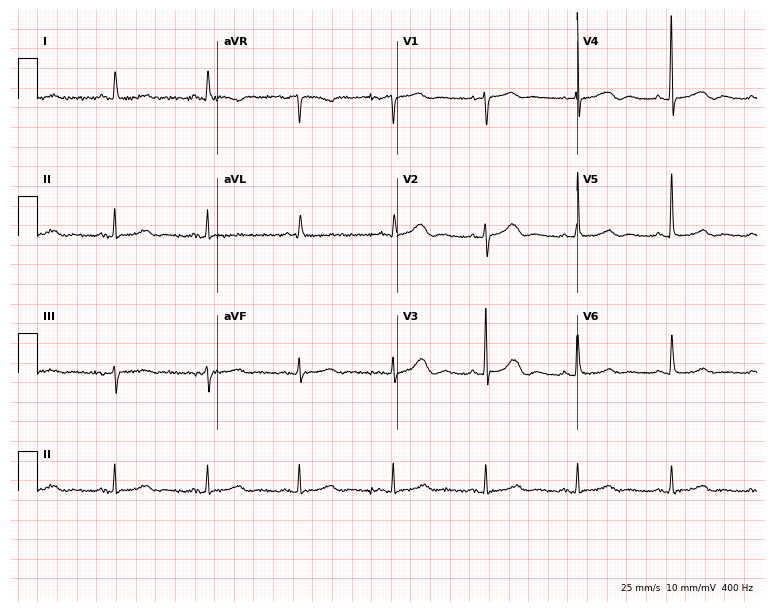
Resting 12-lead electrocardiogram. Patient: a female, 82 years old. None of these six findings is recorded: first-degree AV block, right bundle branch block, left bundle branch block, sinus bradycardia, atrial fibrillation, sinus tachycardia. Findings outside these six are not listed.